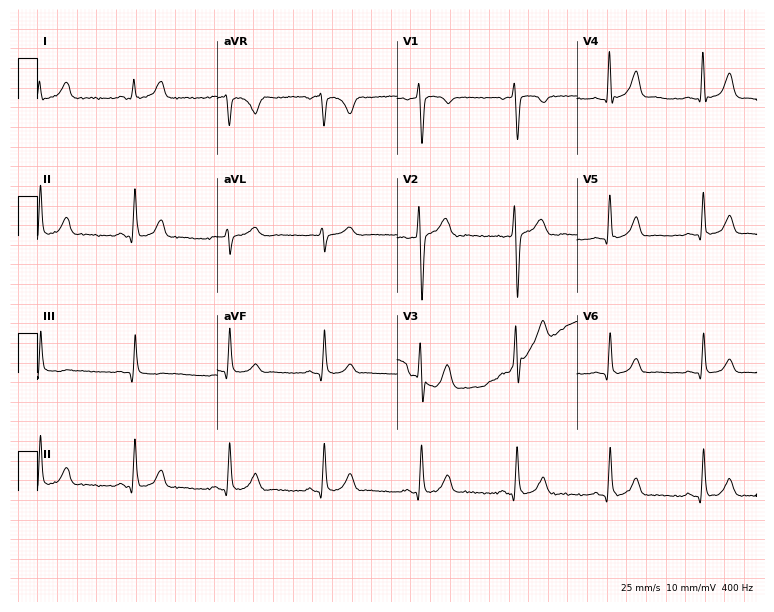
Electrocardiogram, a male, 38 years old. Of the six screened findings (first-degree AV block, right bundle branch block, left bundle branch block, sinus bradycardia, atrial fibrillation, sinus tachycardia), none is recorded.